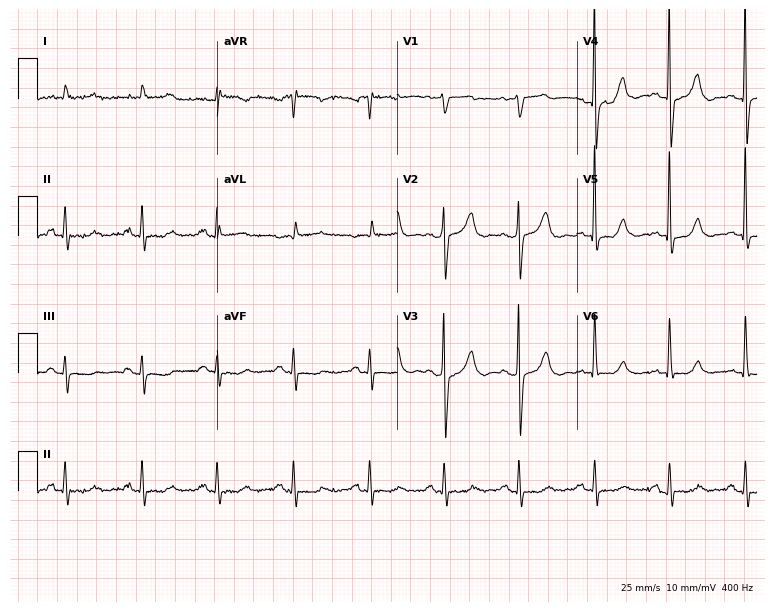
Resting 12-lead electrocardiogram (7.3-second recording at 400 Hz). Patient: a male, 80 years old. Read as a normal ECG.